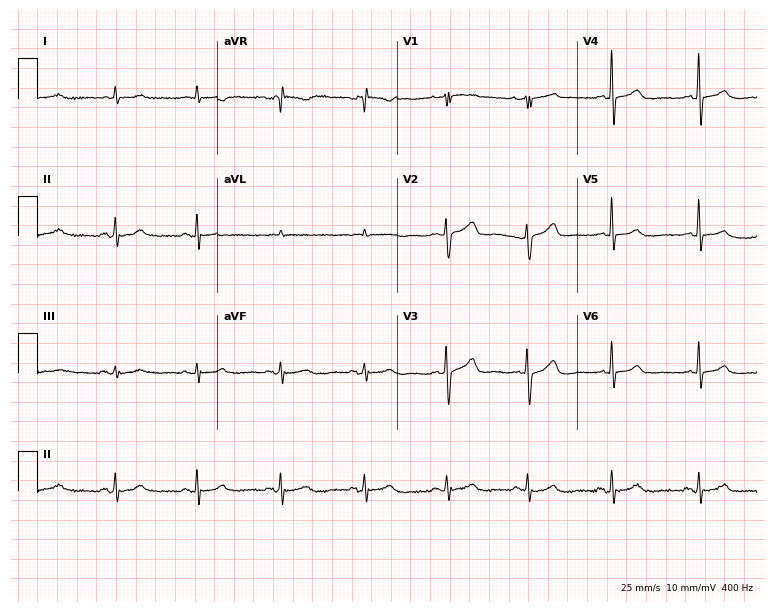
12-lead ECG from a 70-year-old female. Recorded interpretation: within normal limits.